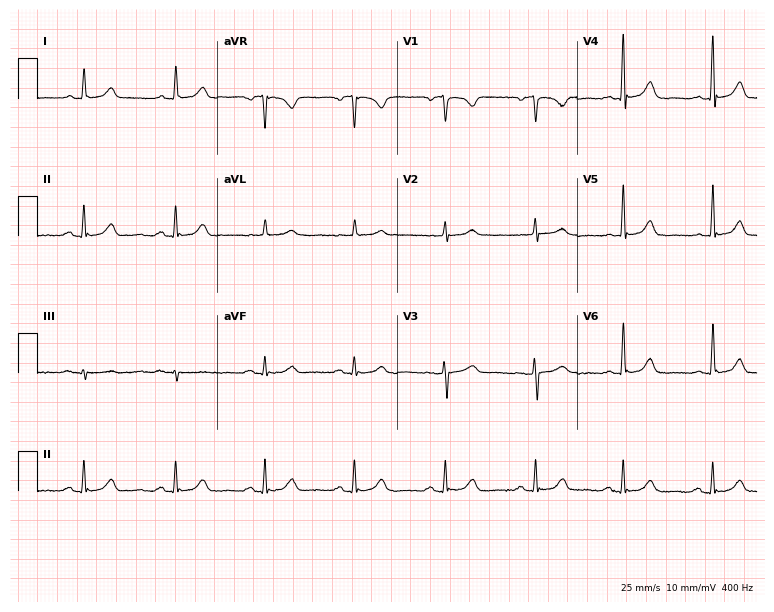
ECG (7.3-second recording at 400 Hz) — a 66-year-old female patient. Labelled as a normal ECG.